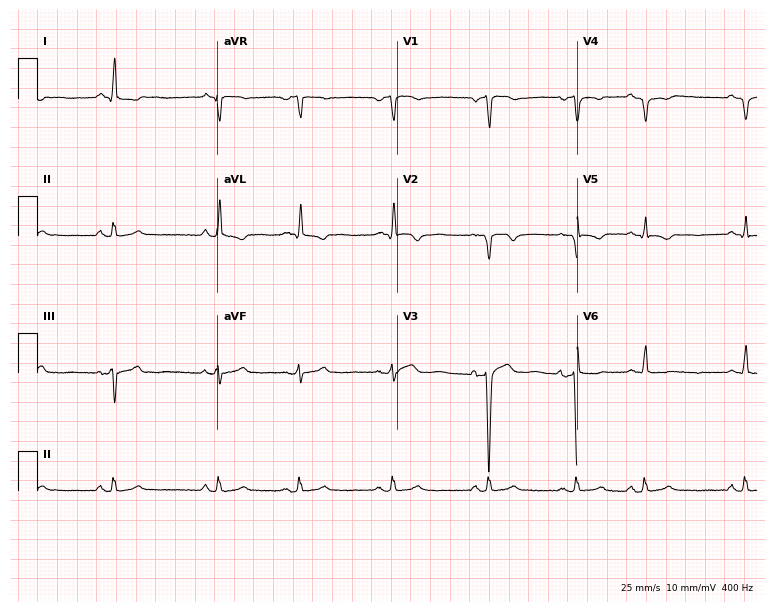
12-lead ECG (7.3-second recording at 400 Hz) from a 78-year-old male. Screened for six findings — first-degree AV block, right bundle branch block, left bundle branch block, sinus bradycardia, atrial fibrillation, sinus tachycardia — none is recorded. Other findings, if any, are not listed.